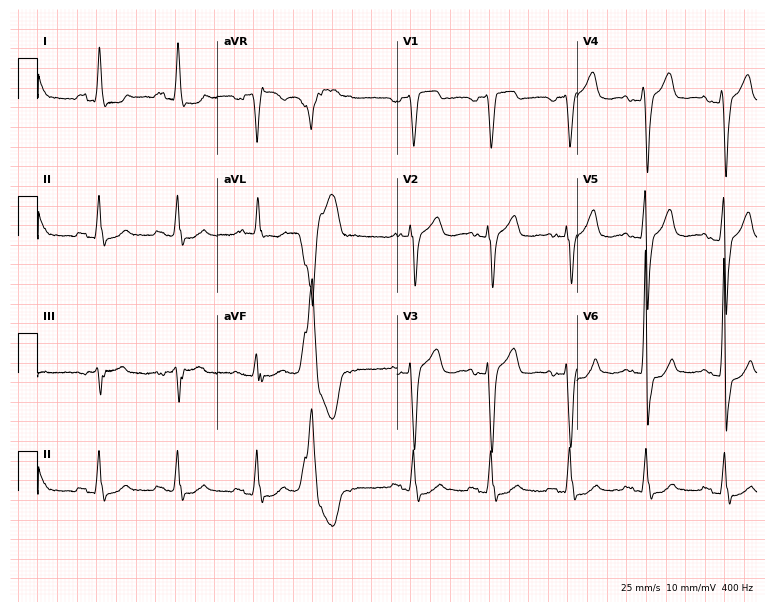
12-lead ECG from a woman, 56 years old. Screened for six findings — first-degree AV block, right bundle branch block (RBBB), left bundle branch block (LBBB), sinus bradycardia, atrial fibrillation (AF), sinus tachycardia — none is recorded.